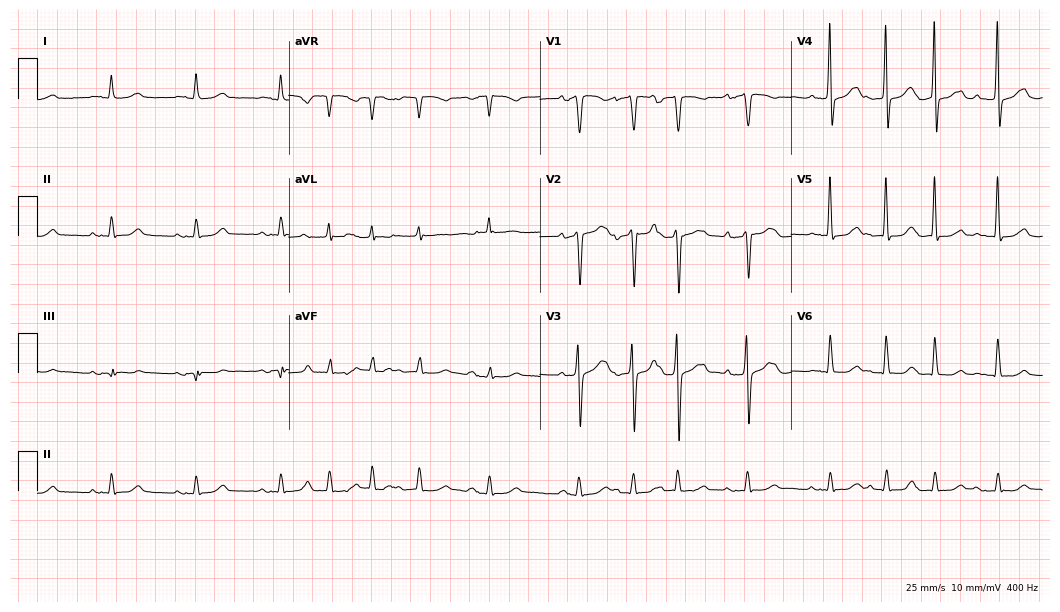
Electrocardiogram (10.2-second recording at 400 Hz), a 74-year-old female. Overall reading on record: normal ECG.